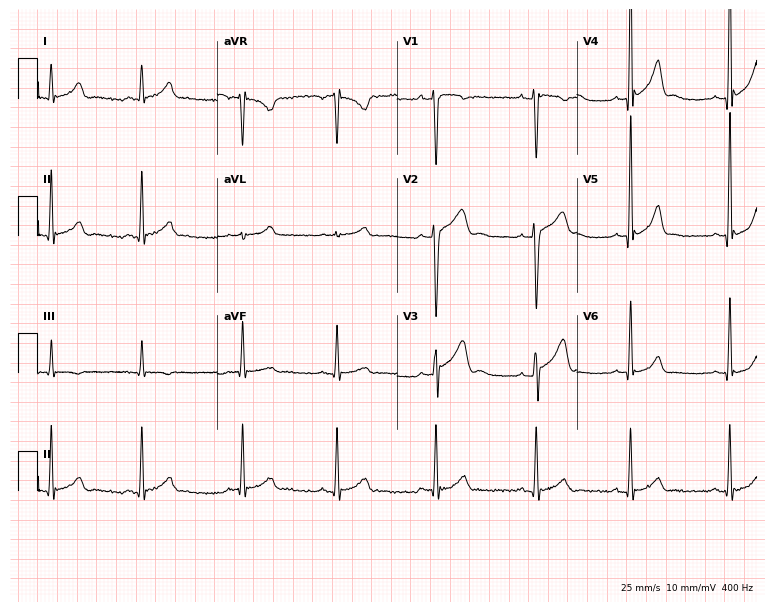
12-lead ECG (7.3-second recording at 400 Hz) from a 20-year-old male patient. Labelled as a normal ECG.